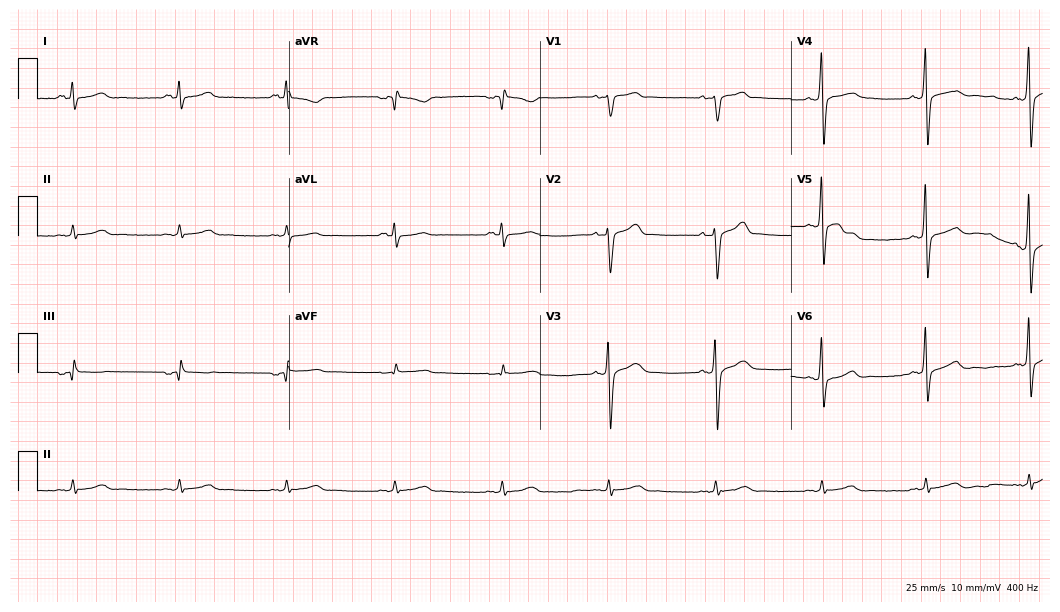
ECG (10.2-second recording at 400 Hz) — a 53-year-old male. Screened for six findings — first-degree AV block, right bundle branch block, left bundle branch block, sinus bradycardia, atrial fibrillation, sinus tachycardia — none is recorded.